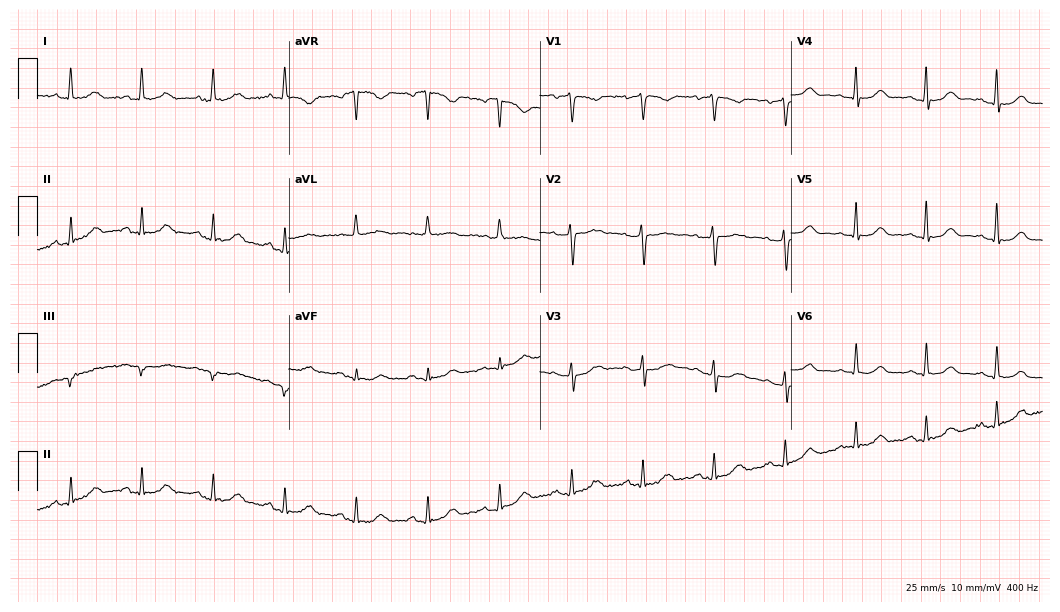
ECG (10.2-second recording at 400 Hz) — a 66-year-old woman. Labelled as a normal ECG.